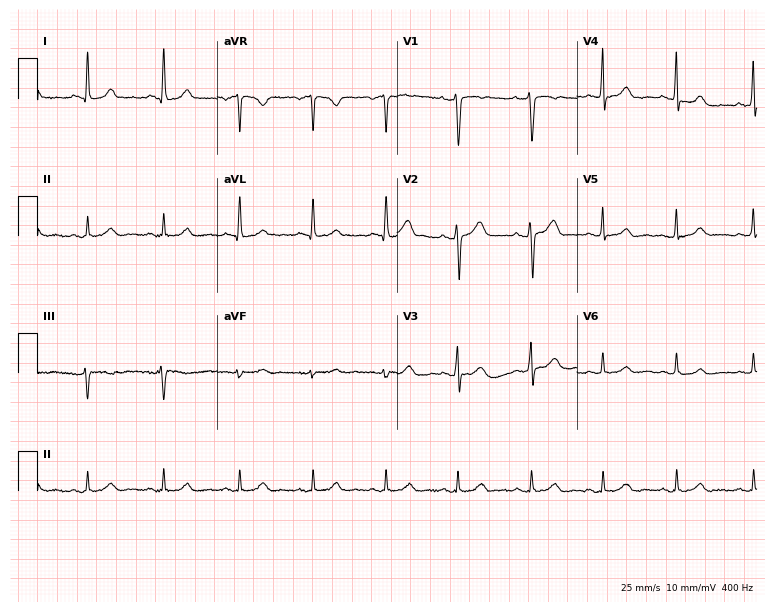
Resting 12-lead electrocardiogram. Patient: a female, 35 years old. Read as a normal ECG.